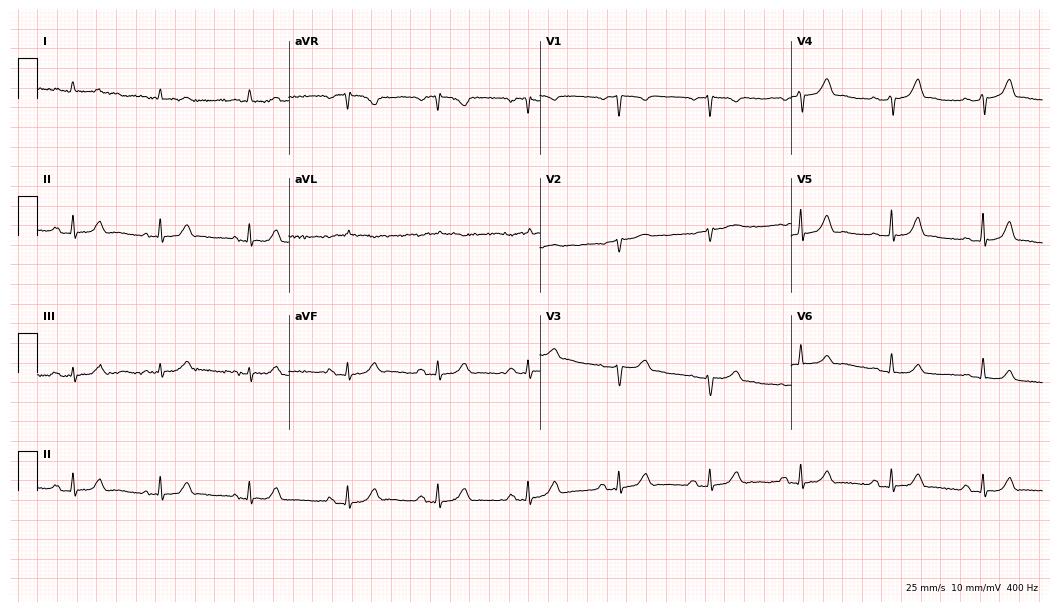
Electrocardiogram (10.2-second recording at 400 Hz), an 82-year-old male. Overall reading on record: normal ECG.